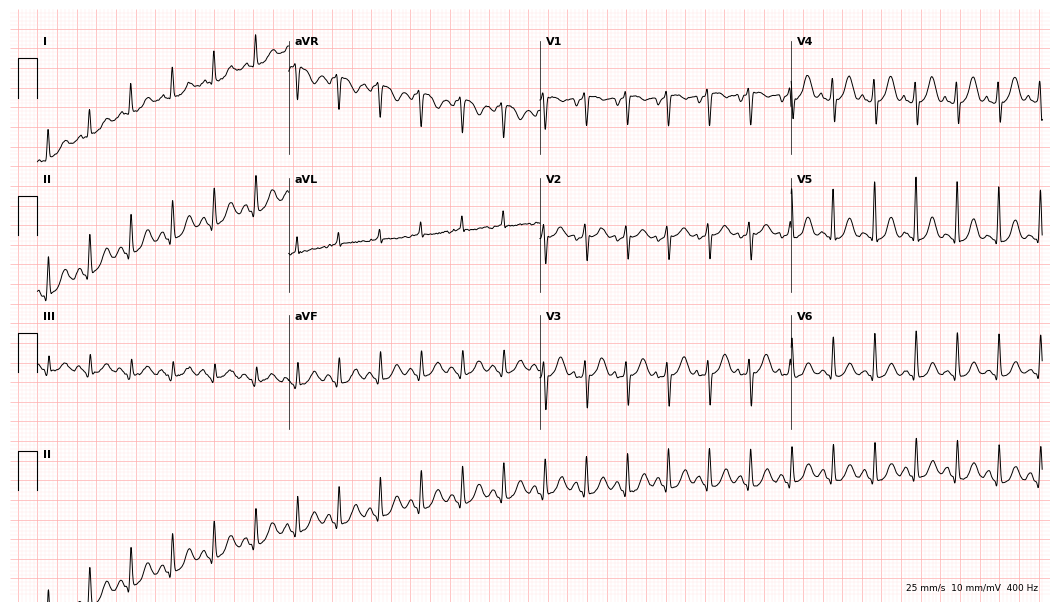
Resting 12-lead electrocardiogram (10.2-second recording at 400 Hz). Patient: a 68-year-old female. The tracing shows sinus tachycardia (a sinus rate of 100 beats per minute or more).